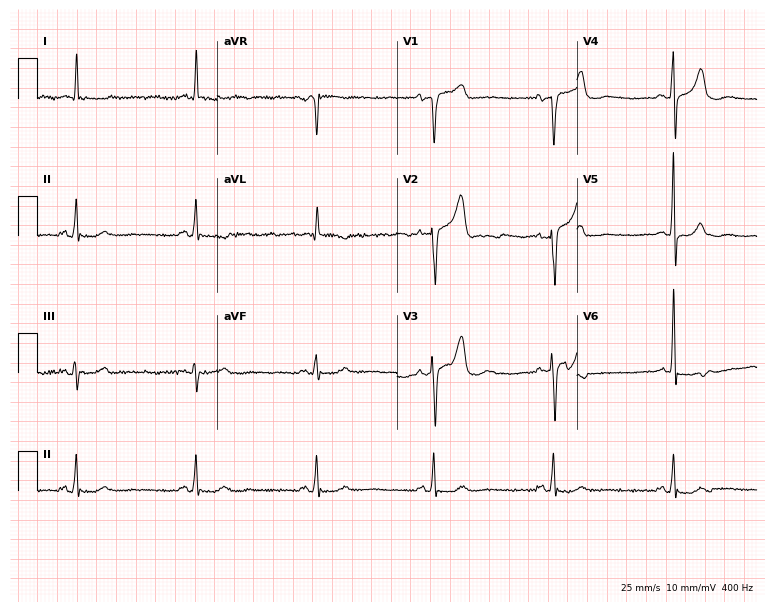
Electrocardiogram, a male, 82 years old. Interpretation includes sinus bradycardia (a sinus rate of 50 beats per minute or less).